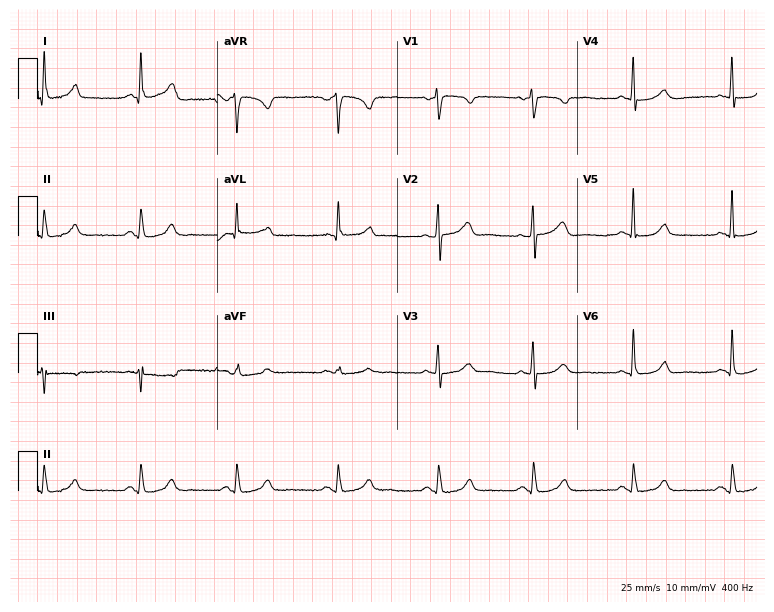
Resting 12-lead electrocardiogram. Patient: a female, 56 years old. Read as a normal ECG.